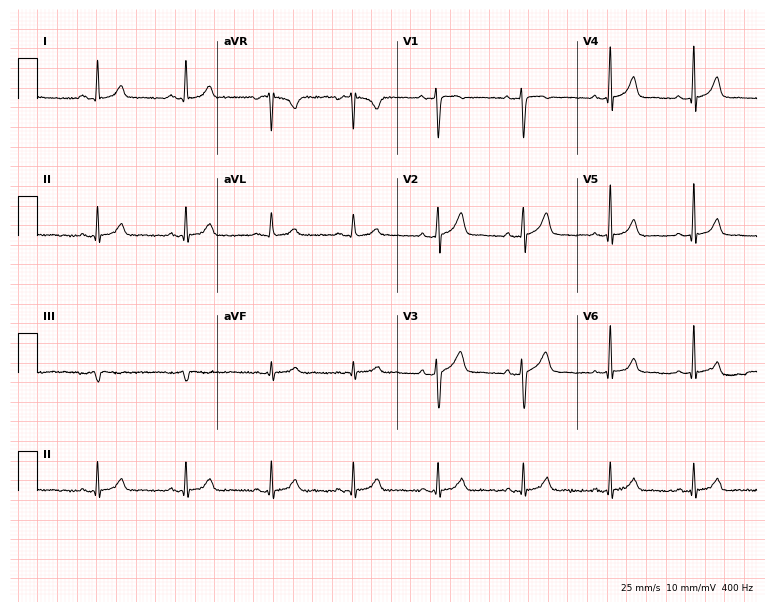
12-lead ECG (7.3-second recording at 400 Hz) from a female, 29 years old. Labelled as a normal ECG.